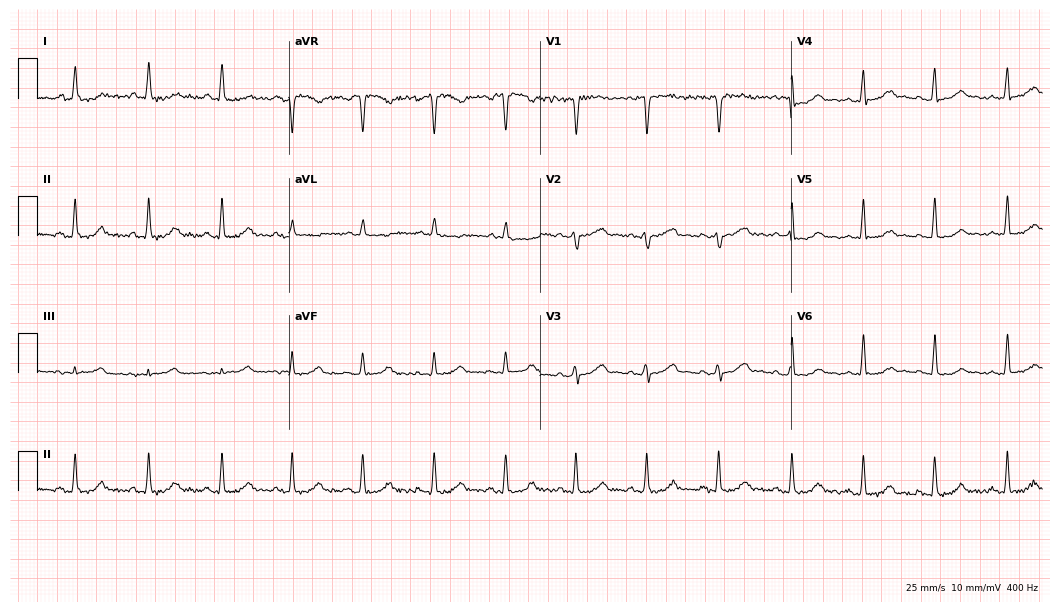
12-lead ECG from a 31-year-old female. Labelled as a normal ECG.